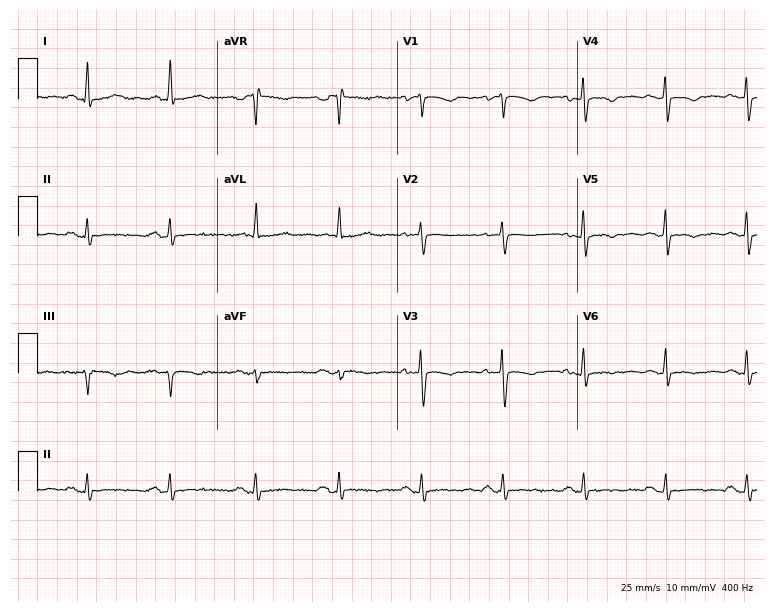
Electrocardiogram, a female, 54 years old. Of the six screened findings (first-degree AV block, right bundle branch block, left bundle branch block, sinus bradycardia, atrial fibrillation, sinus tachycardia), none is recorded.